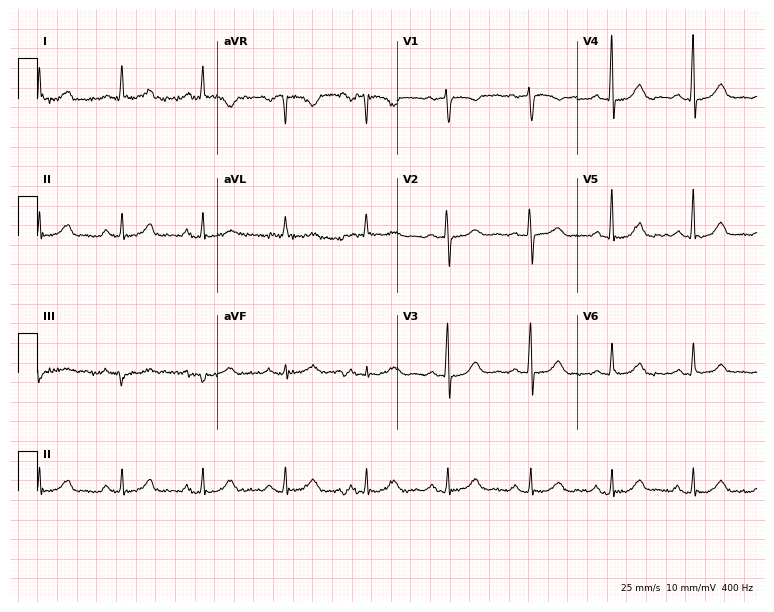
ECG (7.3-second recording at 400 Hz) — a female patient, 73 years old. Labelled as a normal ECG.